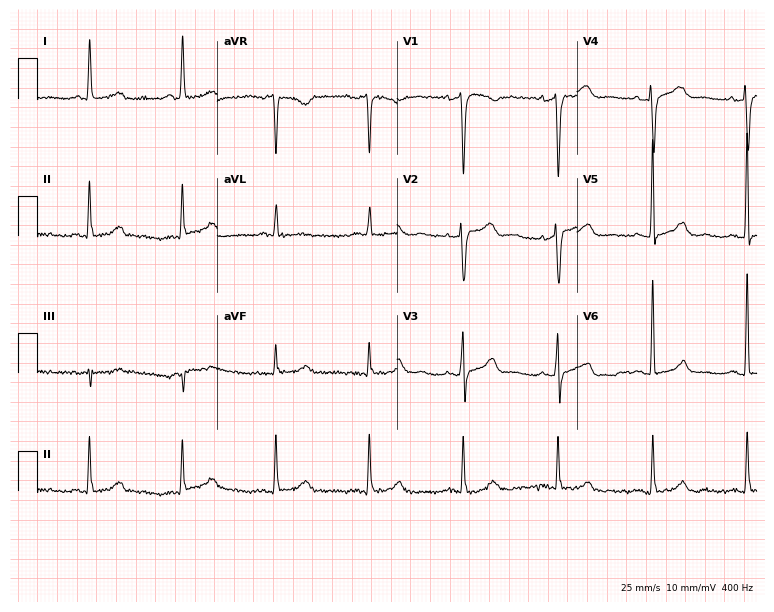
12-lead ECG from a female patient, 63 years old. Labelled as a normal ECG.